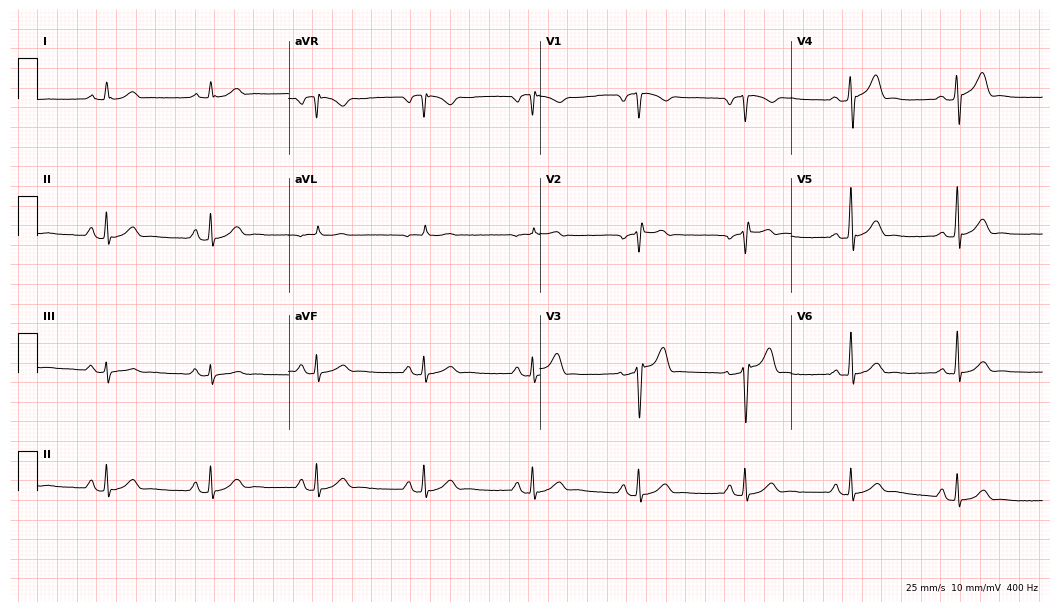
Electrocardiogram (10.2-second recording at 400 Hz), a 50-year-old man. Of the six screened findings (first-degree AV block, right bundle branch block (RBBB), left bundle branch block (LBBB), sinus bradycardia, atrial fibrillation (AF), sinus tachycardia), none is recorded. Other findings, if any, are not listed.